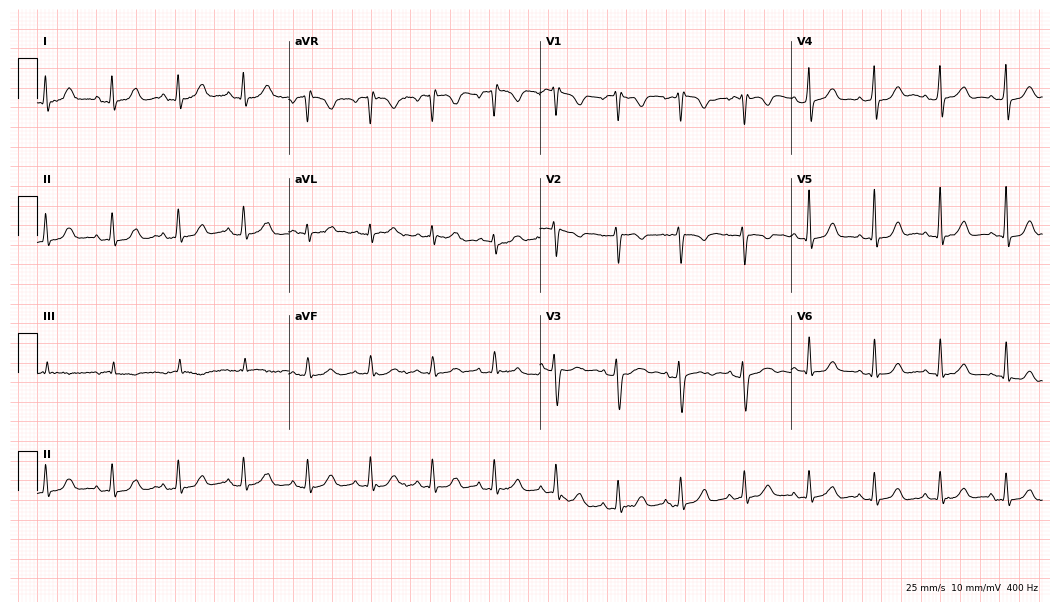
Electrocardiogram (10.2-second recording at 400 Hz), a 42-year-old woman. Overall reading on record: normal ECG.